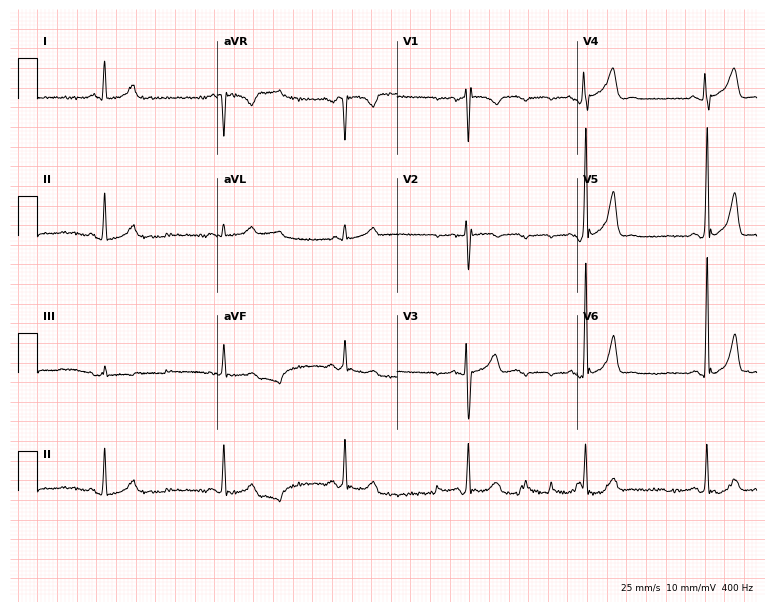
12-lead ECG (7.3-second recording at 400 Hz) from a man, 29 years old. Screened for six findings — first-degree AV block, right bundle branch block, left bundle branch block, sinus bradycardia, atrial fibrillation, sinus tachycardia — none is recorded.